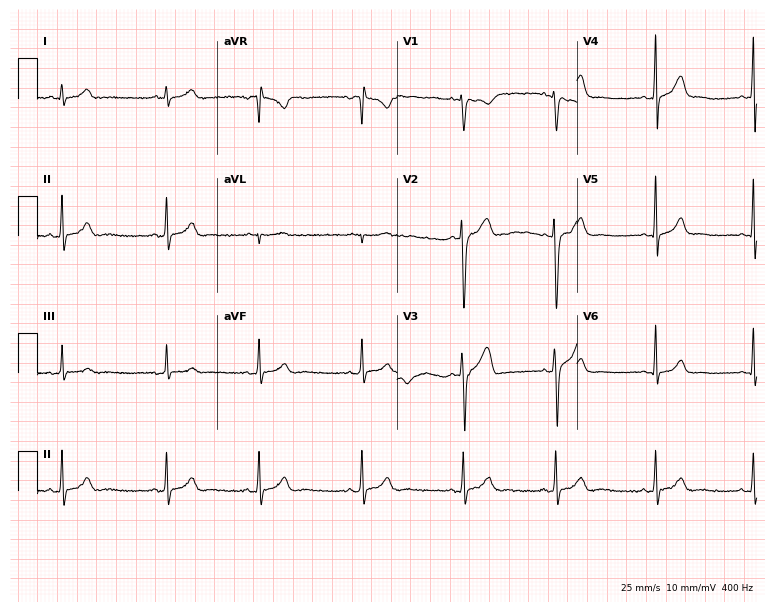
ECG (7.3-second recording at 400 Hz) — an 18-year-old man. Labelled as a normal ECG.